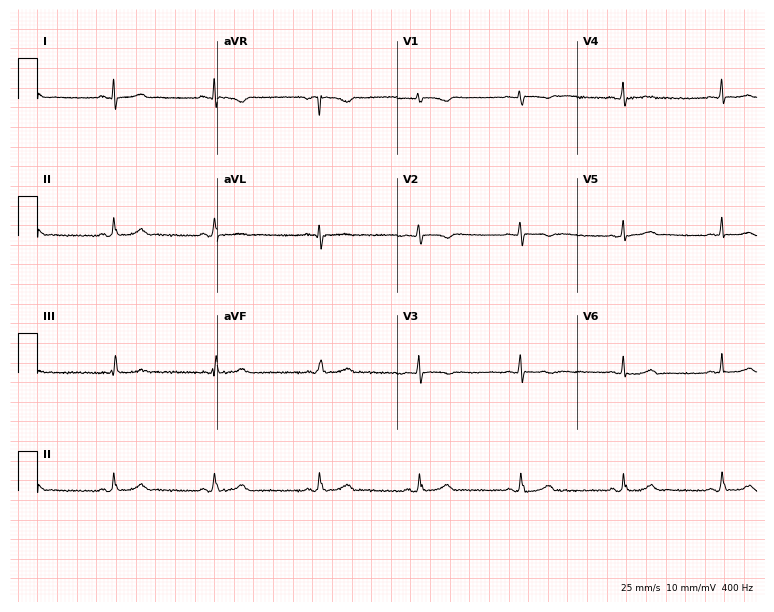
12-lead ECG (7.3-second recording at 400 Hz) from a 17-year-old female patient. Screened for six findings — first-degree AV block, right bundle branch block (RBBB), left bundle branch block (LBBB), sinus bradycardia, atrial fibrillation (AF), sinus tachycardia — none is recorded. Other findings, if any, are not listed.